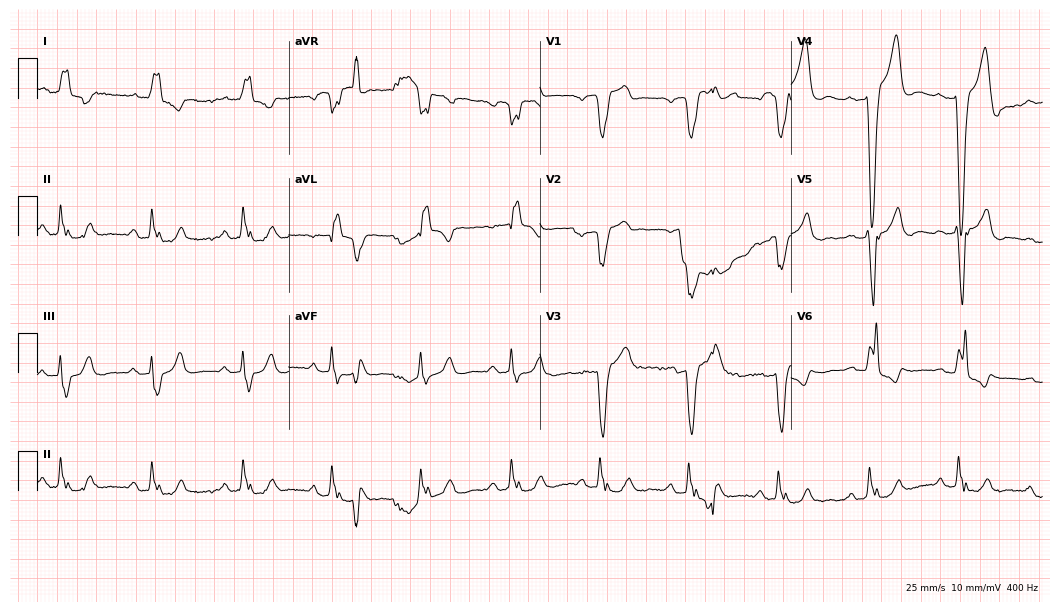
Resting 12-lead electrocardiogram (10.2-second recording at 400 Hz). Patient: a 75-year-old male. The tracing shows left bundle branch block.